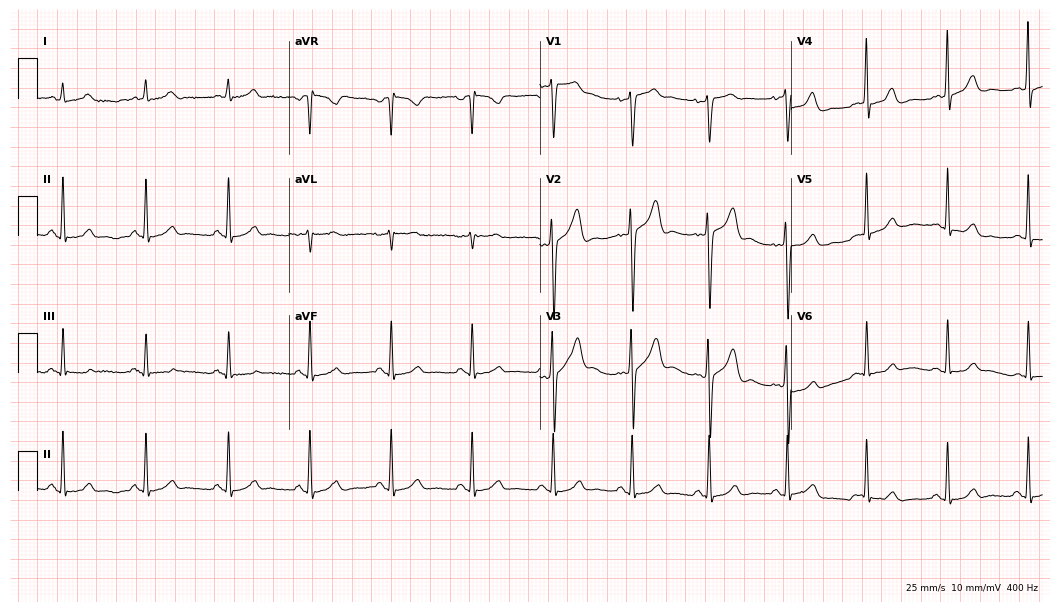
Resting 12-lead electrocardiogram. Patient: a male, 61 years old. Read as a normal ECG.